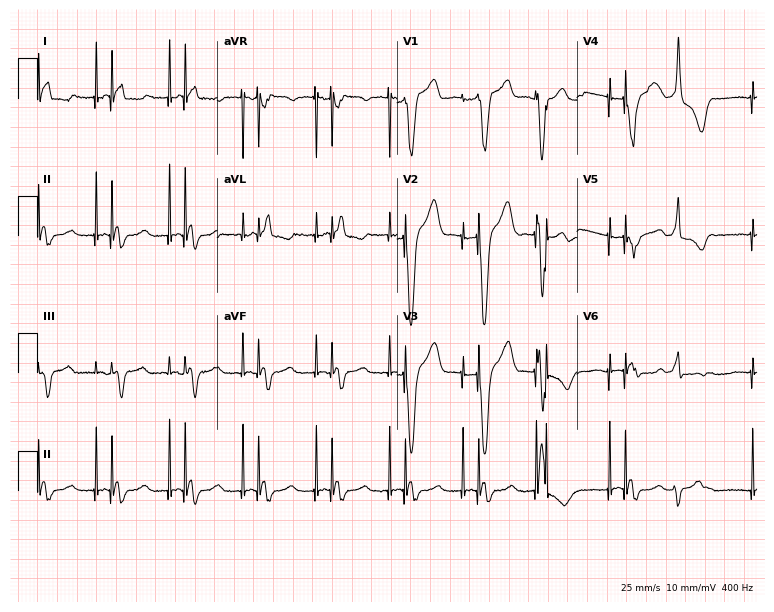
12-lead ECG (7.3-second recording at 400 Hz) from a woman, 75 years old. Screened for six findings — first-degree AV block, right bundle branch block, left bundle branch block, sinus bradycardia, atrial fibrillation, sinus tachycardia — none is recorded.